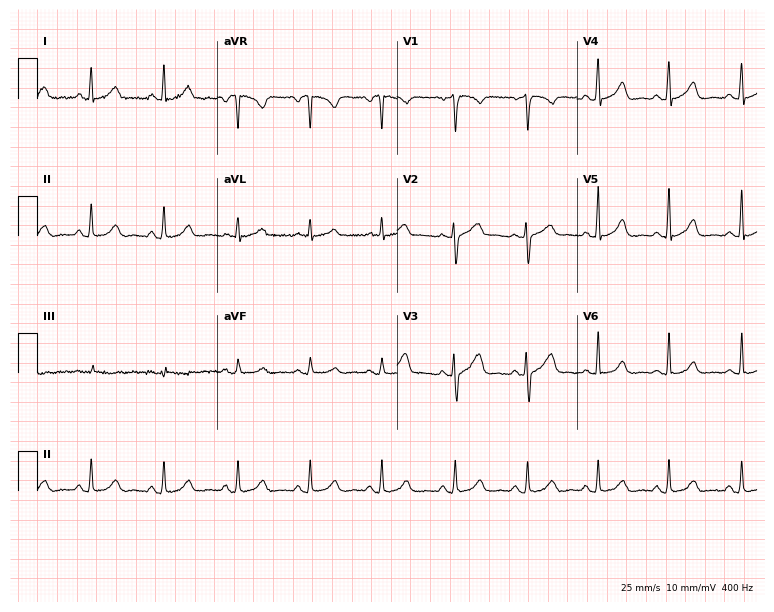
12-lead ECG (7.3-second recording at 400 Hz) from a female, 39 years old. Labelled as a normal ECG.